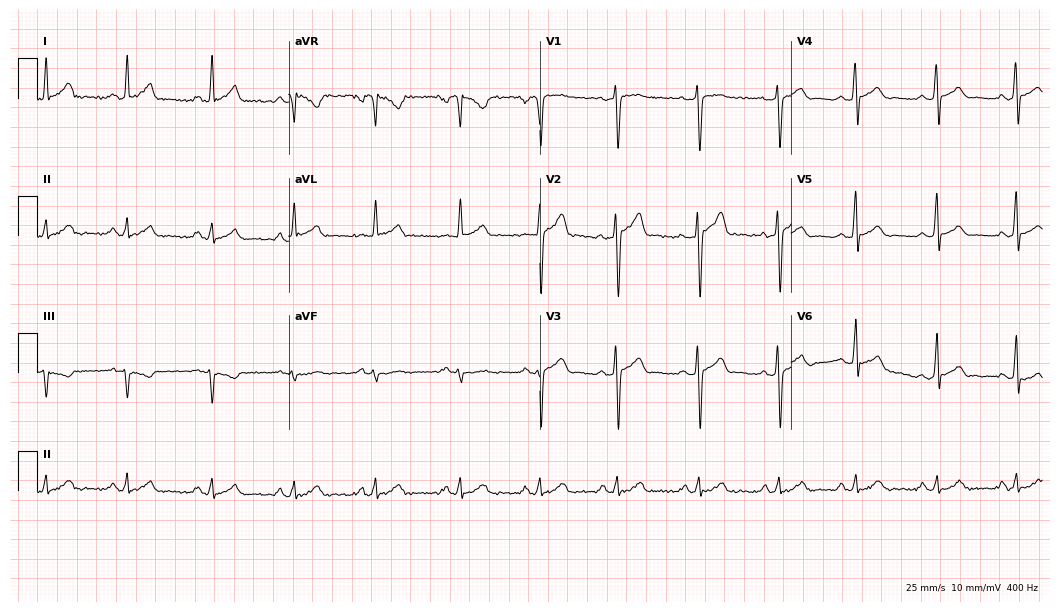
ECG (10.2-second recording at 400 Hz) — a male, 37 years old. Labelled as a normal ECG.